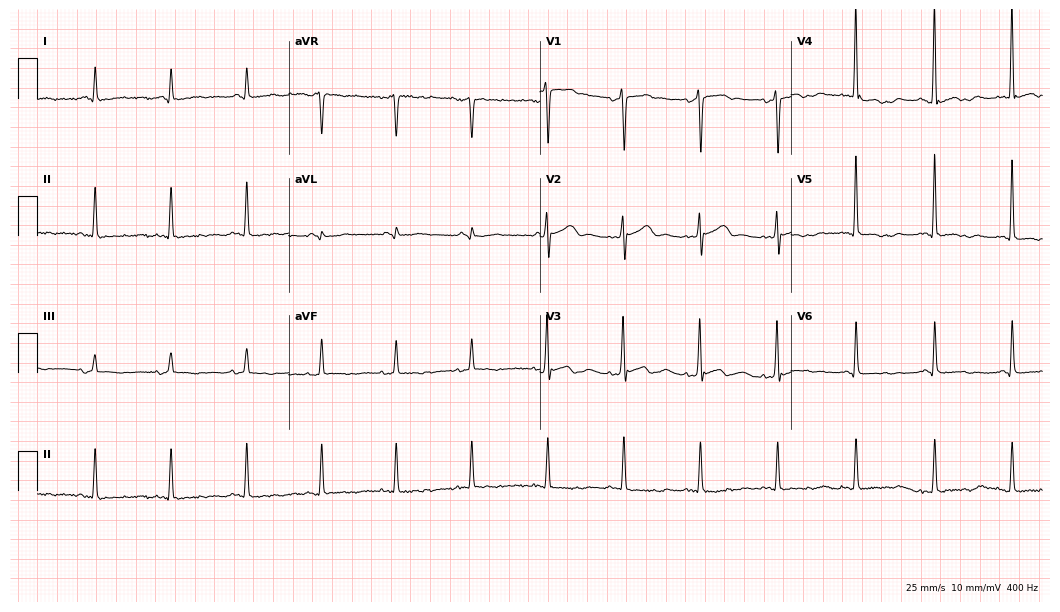
Resting 12-lead electrocardiogram (10.2-second recording at 400 Hz). Patient: a 79-year-old man. None of these six findings is recorded: first-degree AV block, right bundle branch block, left bundle branch block, sinus bradycardia, atrial fibrillation, sinus tachycardia.